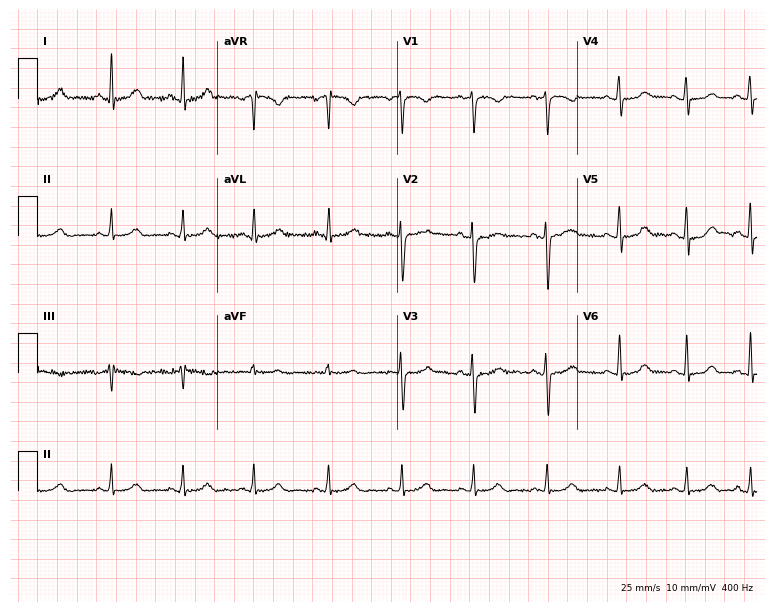
12-lead ECG (7.3-second recording at 400 Hz) from a 24-year-old female patient. Screened for six findings — first-degree AV block, right bundle branch block, left bundle branch block, sinus bradycardia, atrial fibrillation, sinus tachycardia — none is recorded.